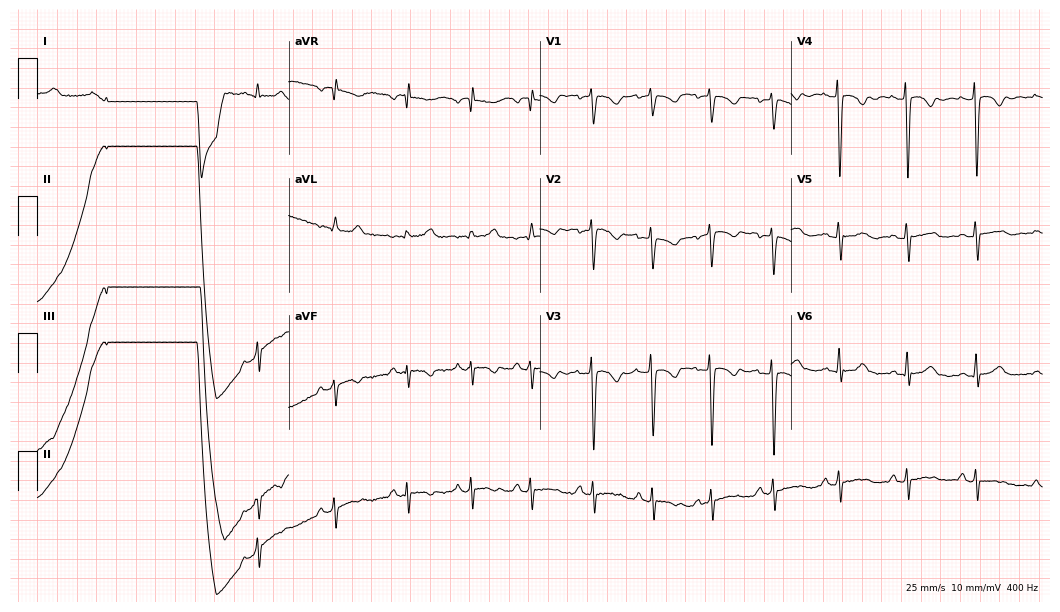
12-lead ECG from a female, 31 years old. Screened for six findings — first-degree AV block, right bundle branch block (RBBB), left bundle branch block (LBBB), sinus bradycardia, atrial fibrillation (AF), sinus tachycardia — none is recorded.